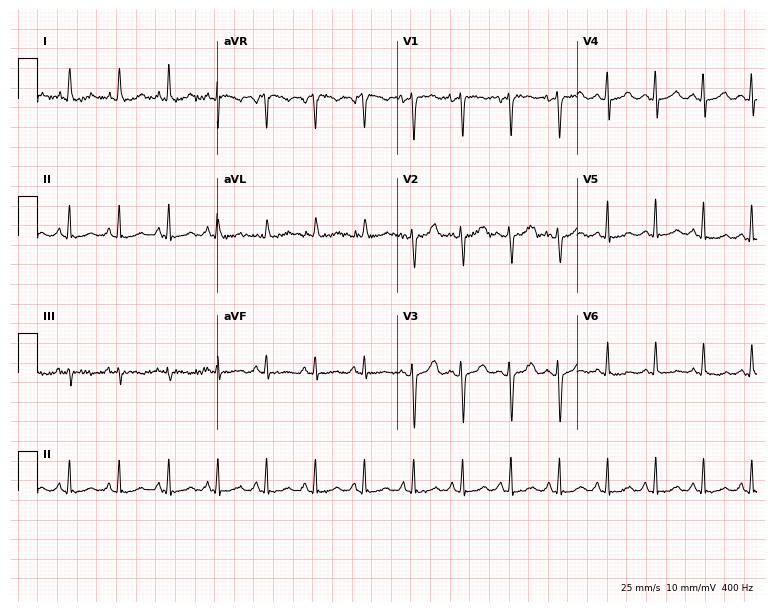
Resting 12-lead electrocardiogram. Patient: a woman, 42 years old. The tracing shows sinus tachycardia (a sinus rate of 100 beats per minute or more).